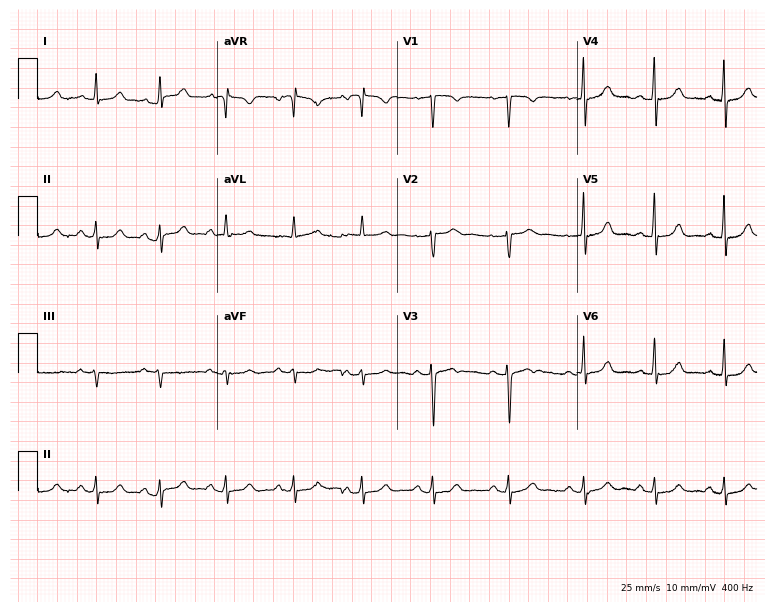
ECG — a 19-year-old female patient. Labelled as a normal ECG.